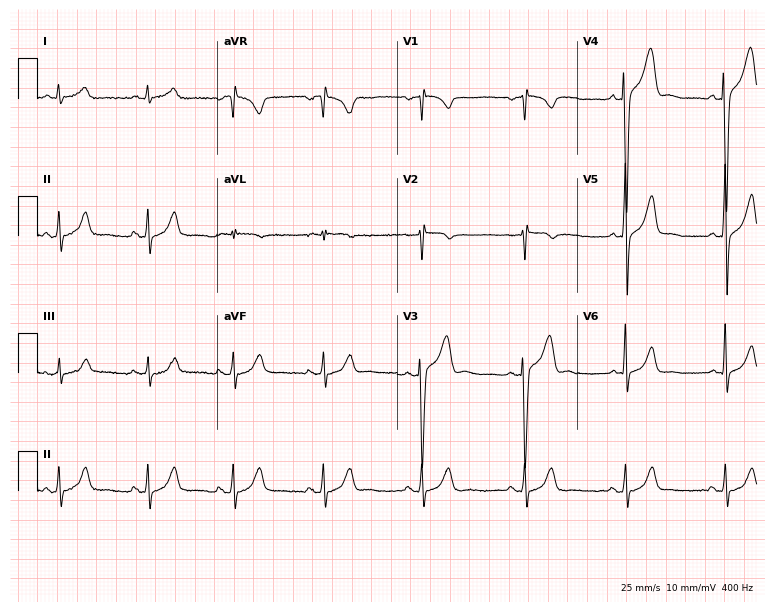
12-lead ECG from a male patient, 32 years old. Labelled as a normal ECG.